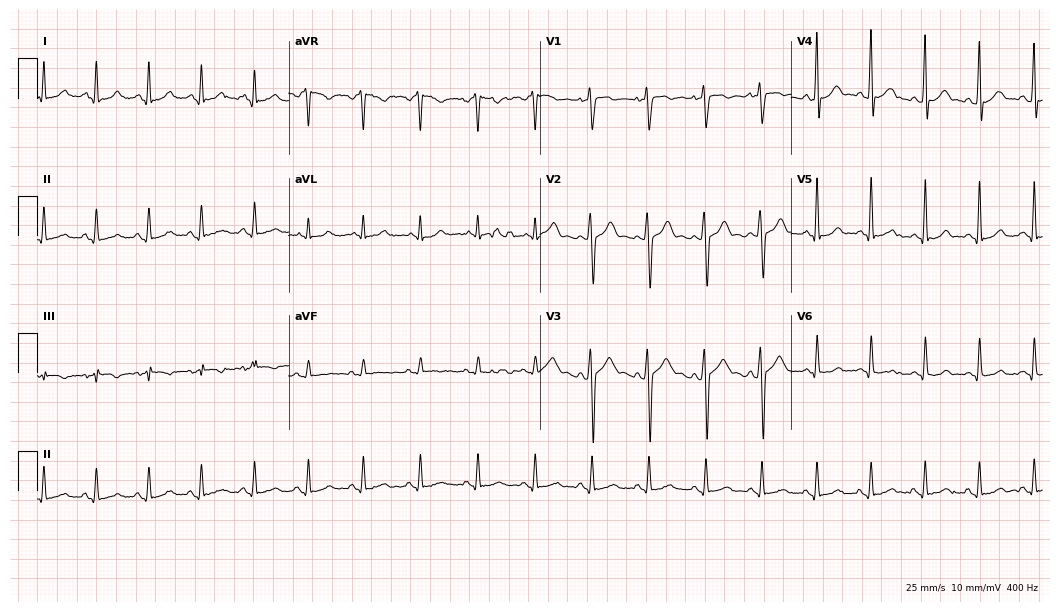
Standard 12-lead ECG recorded from a man, 21 years old (10.2-second recording at 400 Hz). The tracing shows sinus tachycardia (a sinus rate of 100 beats per minute or more).